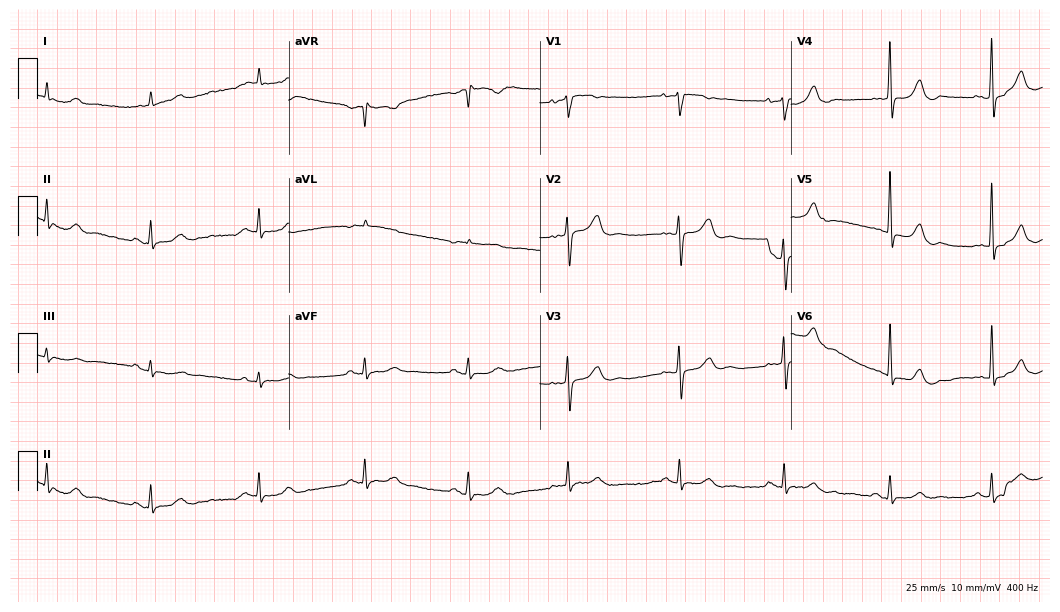
12-lead ECG from a female, 85 years old. Screened for six findings — first-degree AV block, right bundle branch block, left bundle branch block, sinus bradycardia, atrial fibrillation, sinus tachycardia — none is recorded. Only these six findings were labelled.